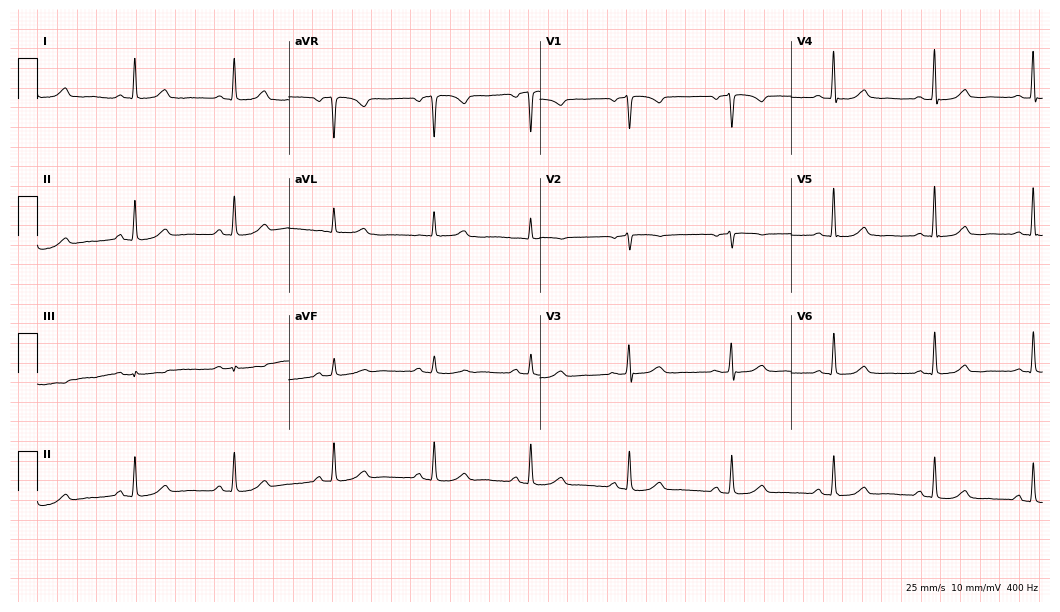
12-lead ECG from a female, 74 years old. Labelled as a normal ECG.